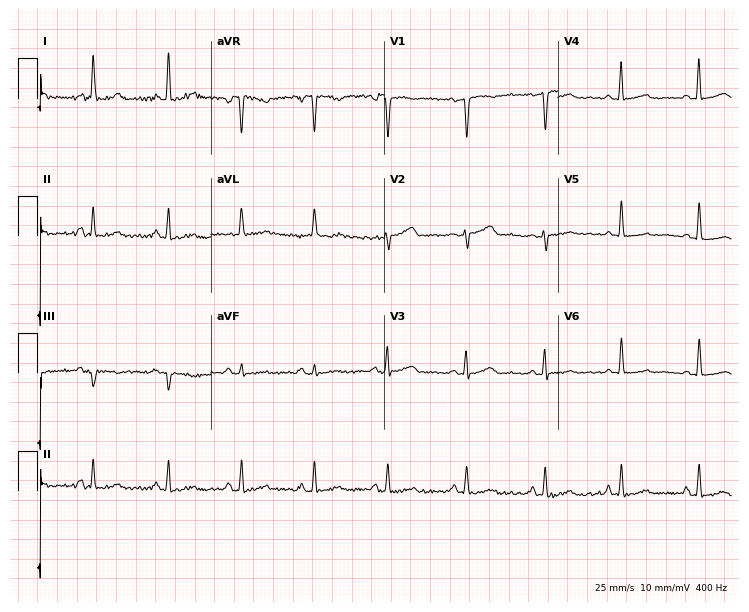
12-lead ECG from a woman, 50 years old. Recorded interpretation: within normal limits.